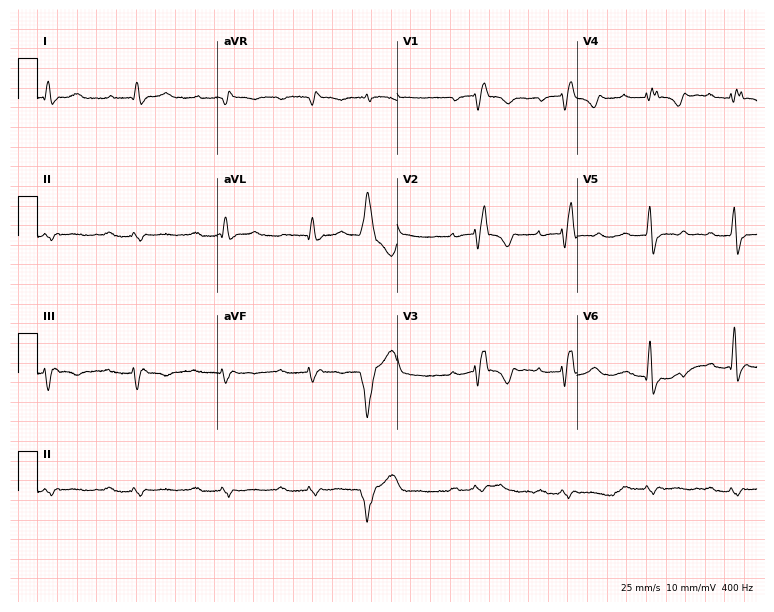
ECG (7.3-second recording at 400 Hz) — a 60-year-old man. Findings include first-degree AV block, right bundle branch block.